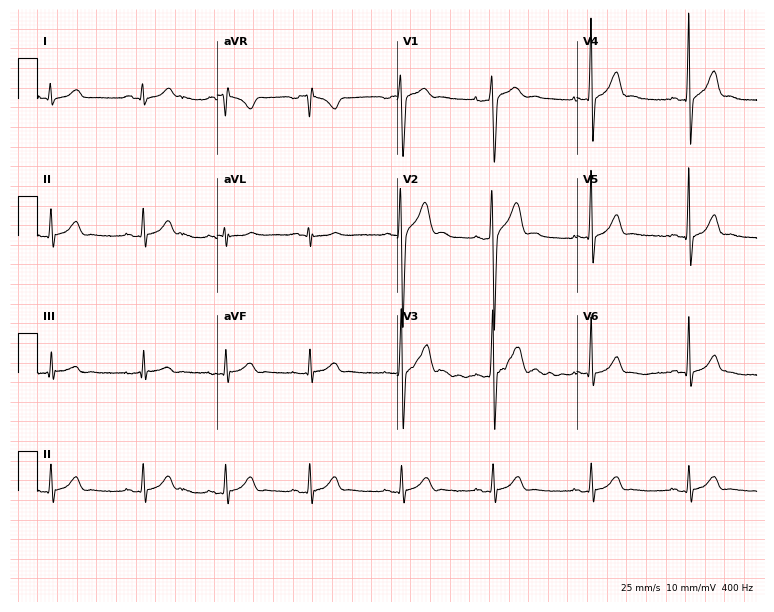
Resting 12-lead electrocardiogram (7.3-second recording at 400 Hz). Patient: a 28-year-old male. Read as a normal ECG.